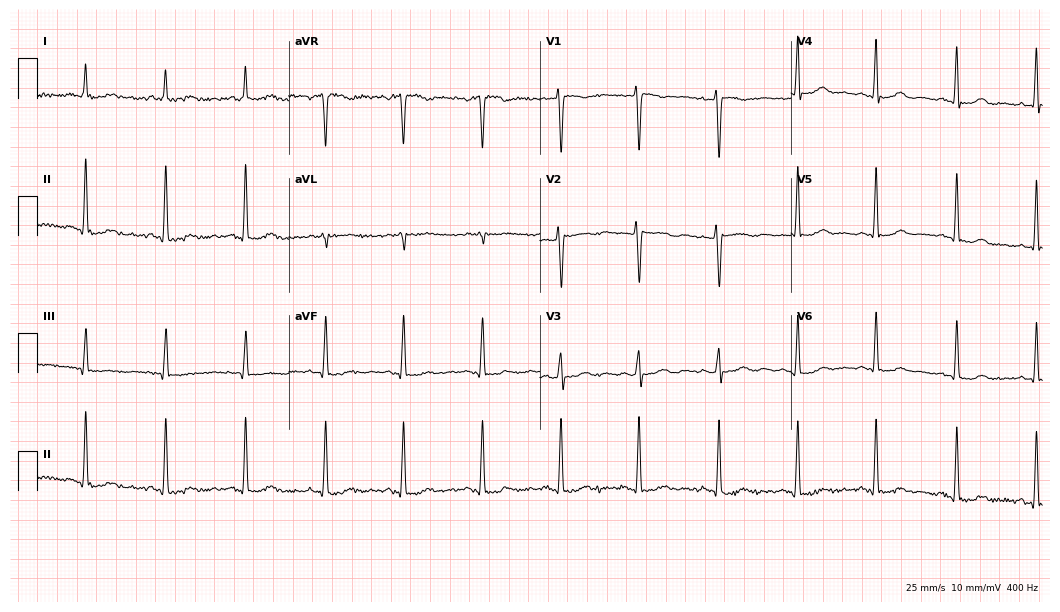
Resting 12-lead electrocardiogram. Patient: a 52-year-old female. None of these six findings is recorded: first-degree AV block, right bundle branch block, left bundle branch block, sinus bradycardia, atrial fibrillation, sinus tachycardia. Other findings, if any, are not listed.